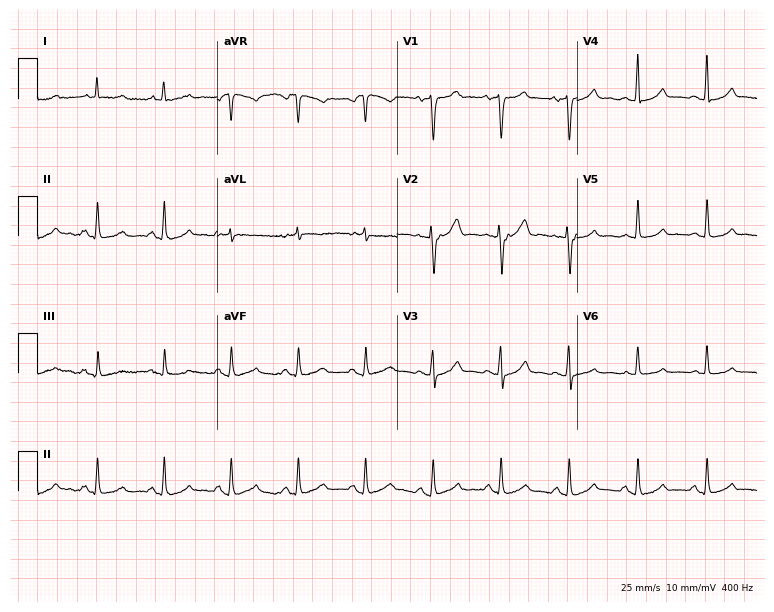
Electrocardiogram, a woman, 74 years old. Of the six screened findings (first-degree AV block, right bundle branch block (RBBB), left bundle branch block (LBBB), sinus bradycardia, atrial fibrillation (AF), sinus tachycardia), none is recorded.